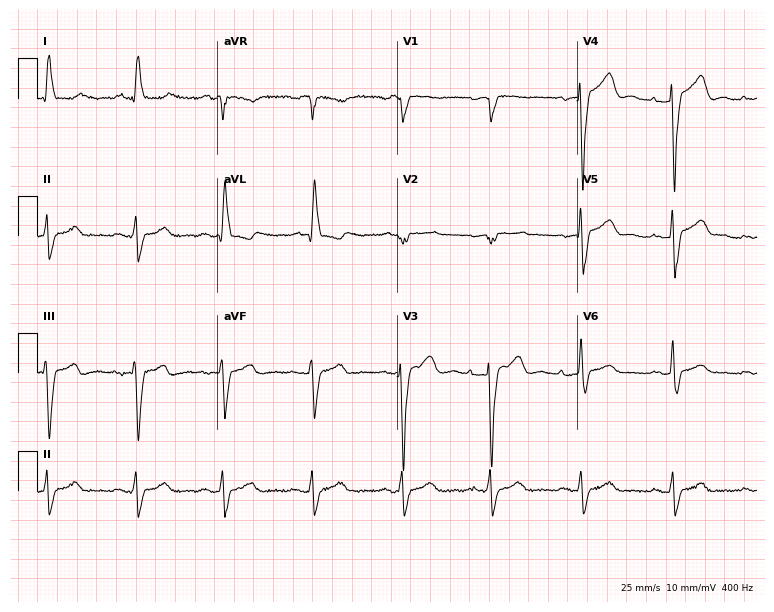
12-lead ECG from a 56-year-old woman (7.3-second recording at 400 Hz). Shows left bundle branch block (LBBB).